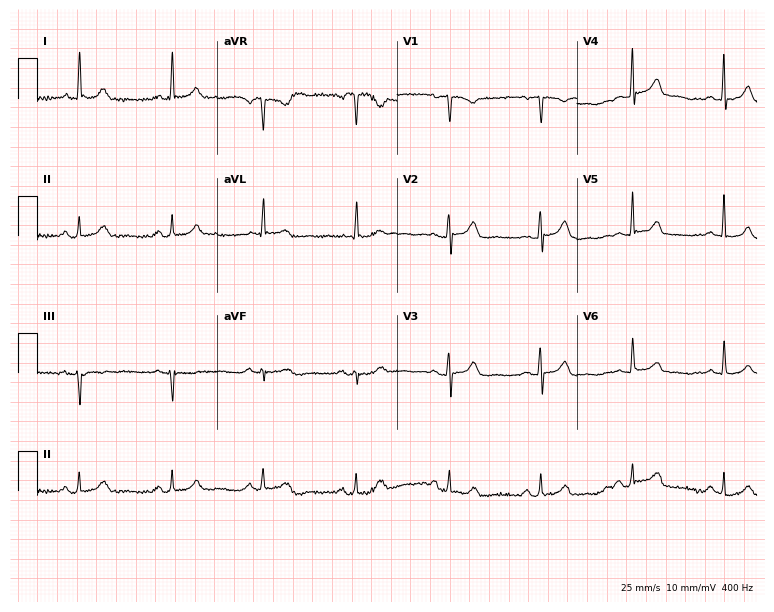
Standard 12-lead ECG recorded from a 66-year-old female. Read as a normal ECG.